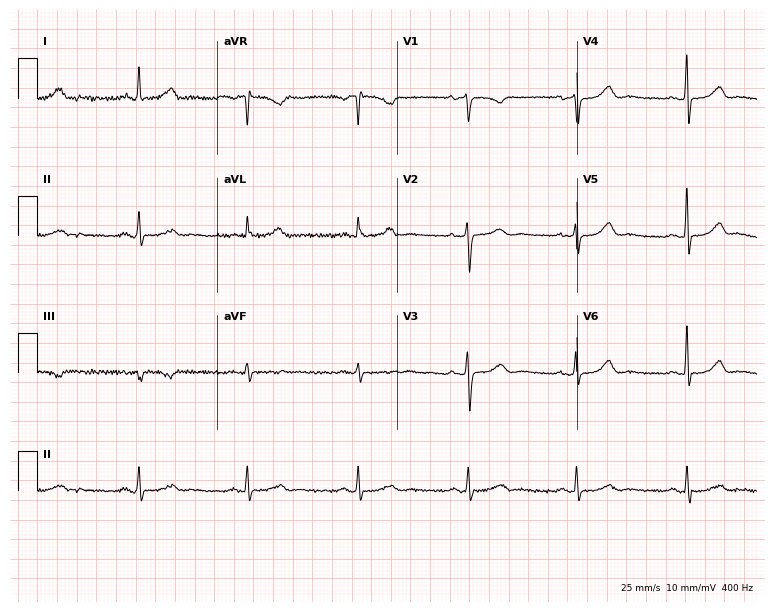
ECG (7.3-second recording at 400 Hz) — a female, 50 years old. Labelled as a normal ECG.